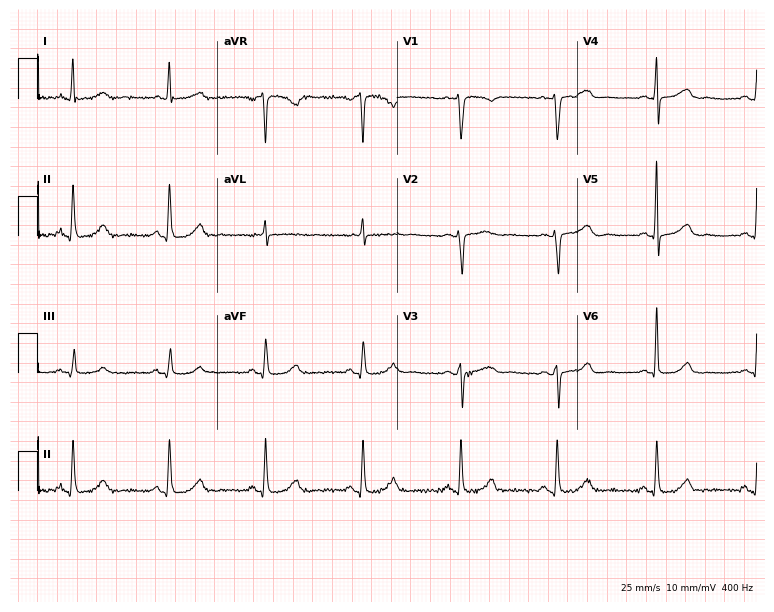
Electrocardiogram (7.3-second recording at 400 Hz), a 58-year-old woman. Overall reading on record: normal ECG.